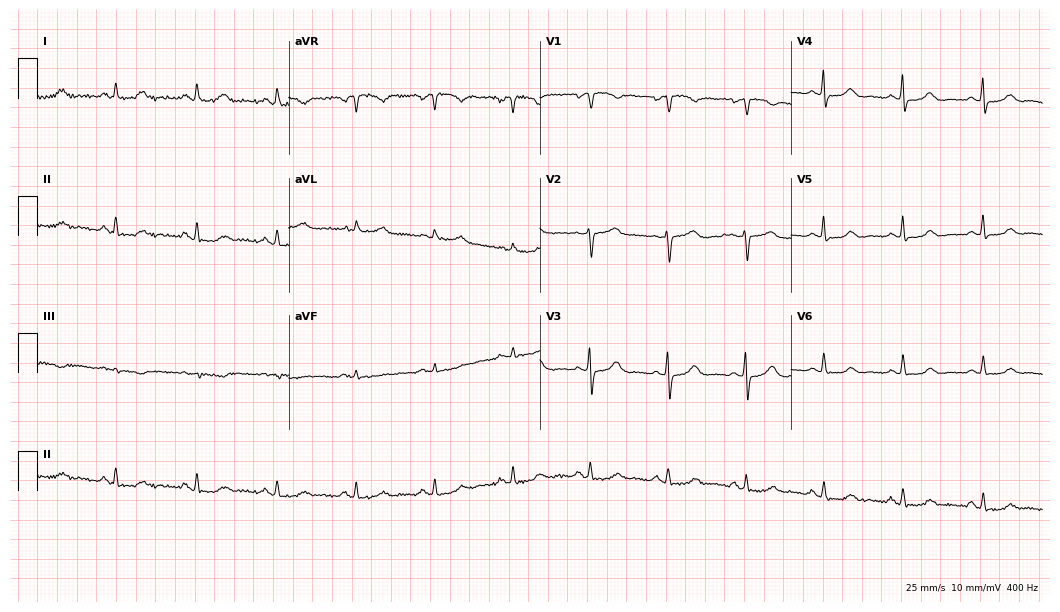
Resting 12-lead electrocardiogram. Patient: a woman, 75 years old. None of these six findings is recorded: first-degree AV block, right bundle branch block, left bundle branch block, sinus bradycardia, atrial fibrillation, sinus tachycardia.